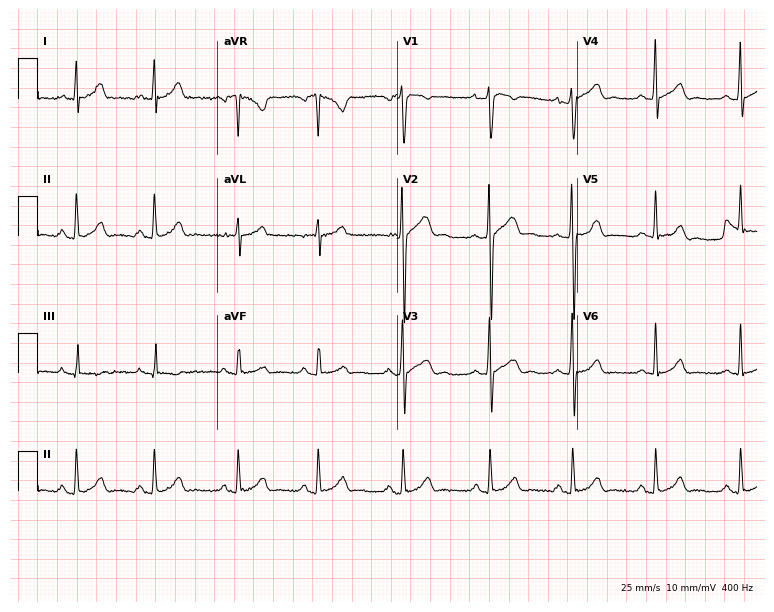
Standard 12-lead ECG recorded from a 22-year-old man (7.3-second recording at 400 Hz). Read as a normal ECG.